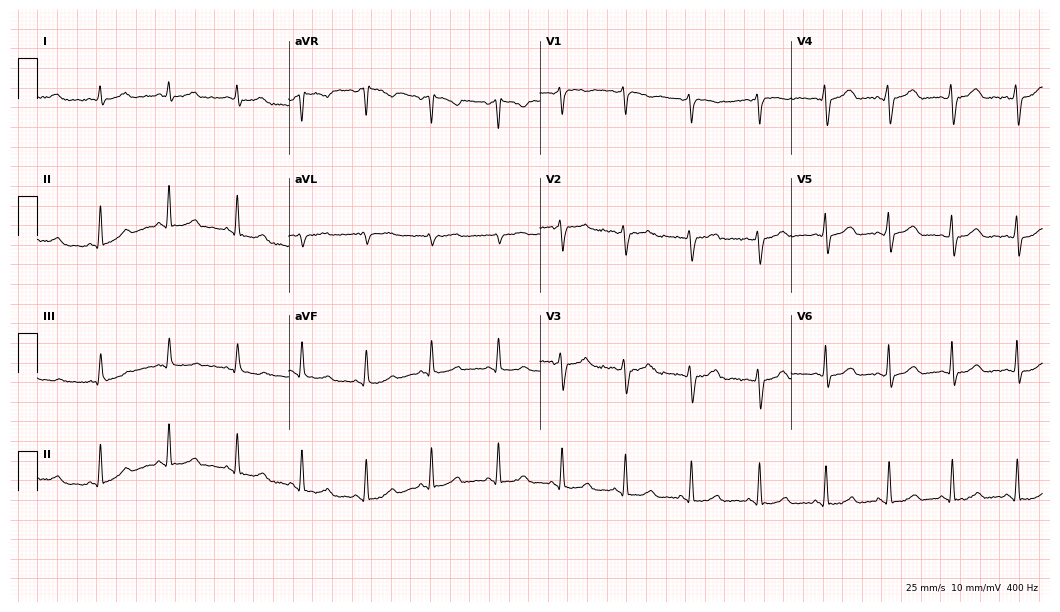
12-lead ECG from a 41-year-old female (10.2-second recording at 400 Hz). Recorded interpretation: within normal limits.